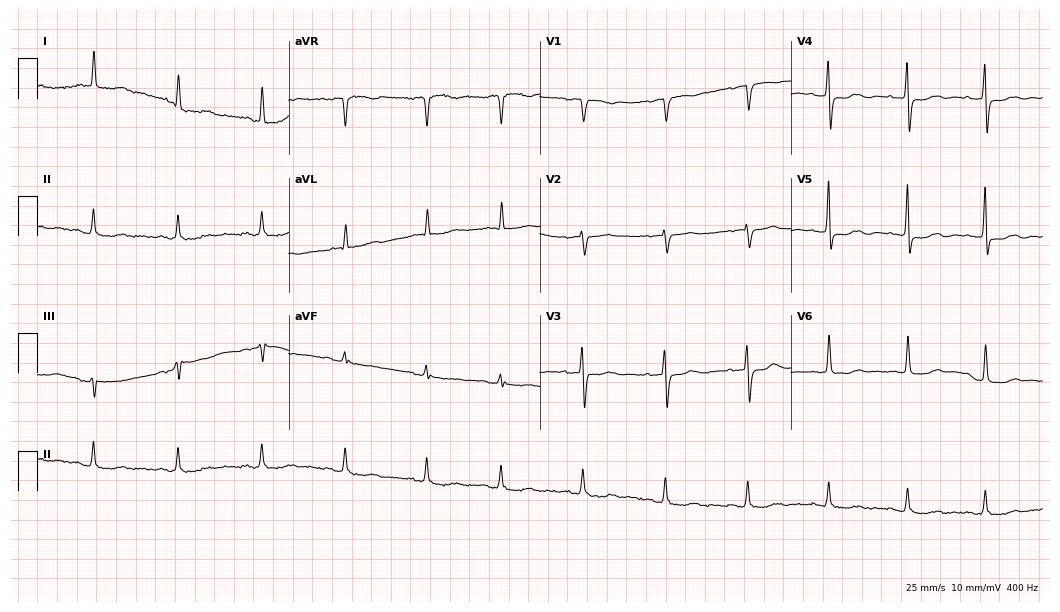
Standard 12-lead ECG recorded from an 85-year-old female (10.2-second recording at 400 Hz). None of these six findings is recorded: first-degree AV block, right bundle branch block, left bundle branch block, sinus bradycardia, atrial fibrillation, sinus tachycardia.